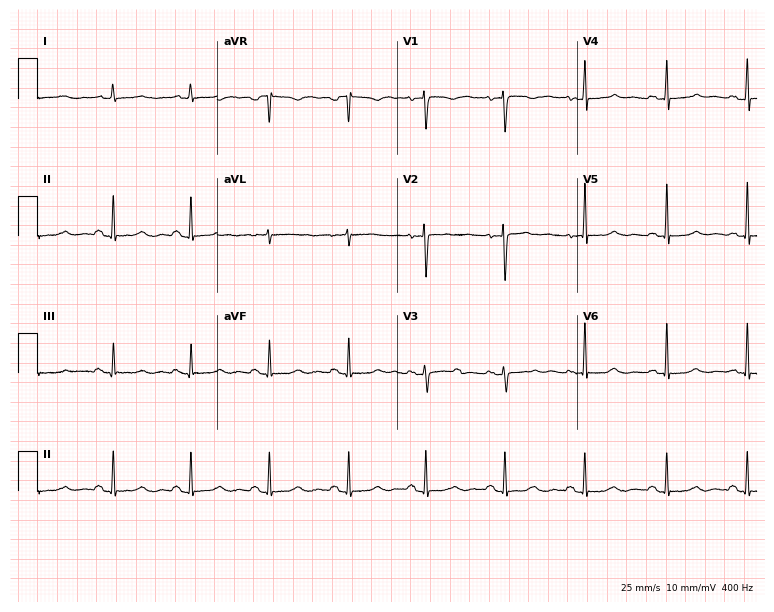
Standard 12-lead ECG recorded from a woman, 49 years old. None of these six findings is recorded: first-degree AV block, right bundle branch block (RBBB), left bundle branch block (LBBB), sinus bradycardia, atrial fibrillation (AF), sinus tachycardia. Findings outside these six are not listed.